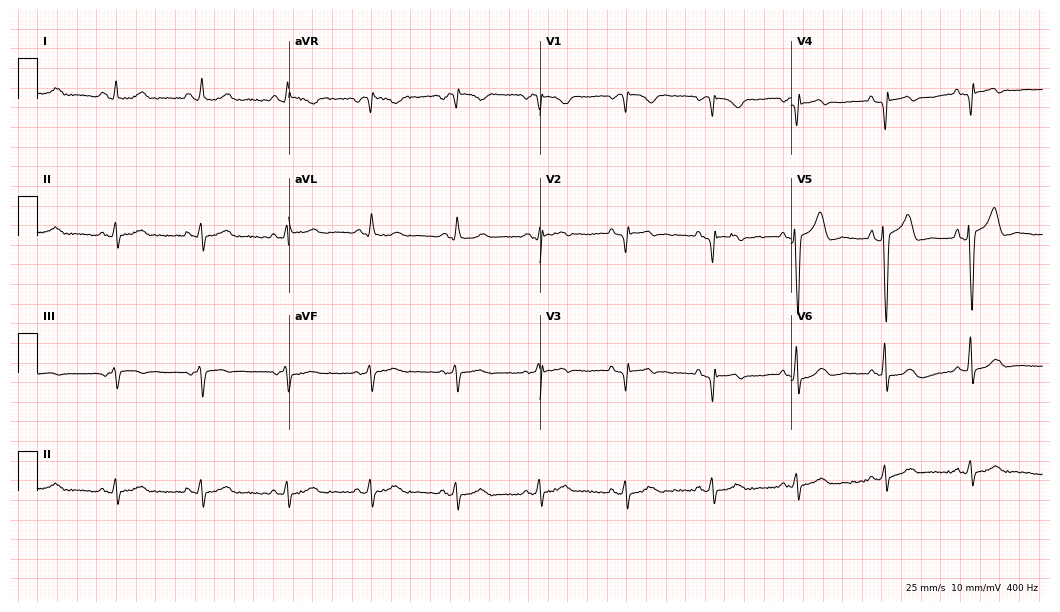
12-lead ECG from a 69-year-old female. No first-degree AV block, right bundle branch block, left bundle branch block, sinus bradycardia, atrial fibrillation or sinus tachycardia recorded for this tracing.